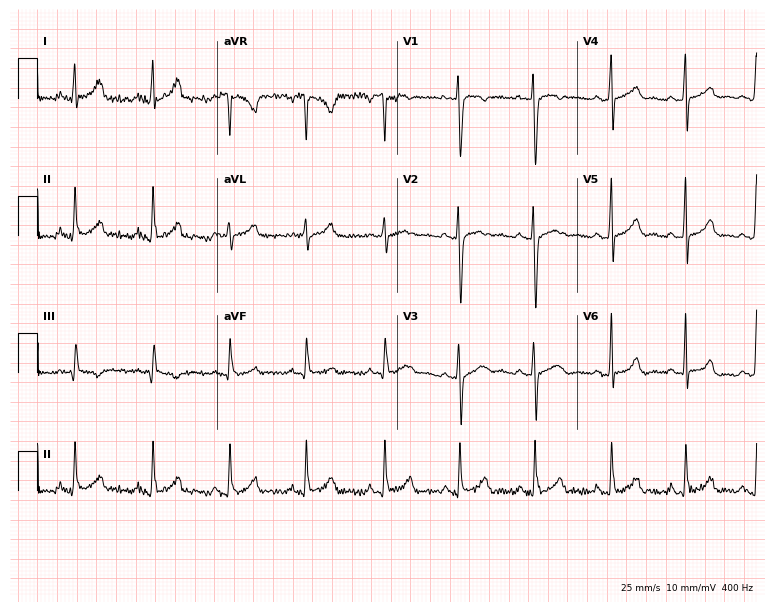
Electrocardiogram, a woman, 18 years old. Of the six screened findings (first-degree AV block, right bundle branch block, left bundle branch block, sinus bradycardia, atrial fibrillation, sinus tachycardia), none is recorded. Findings outside these six are not listed.